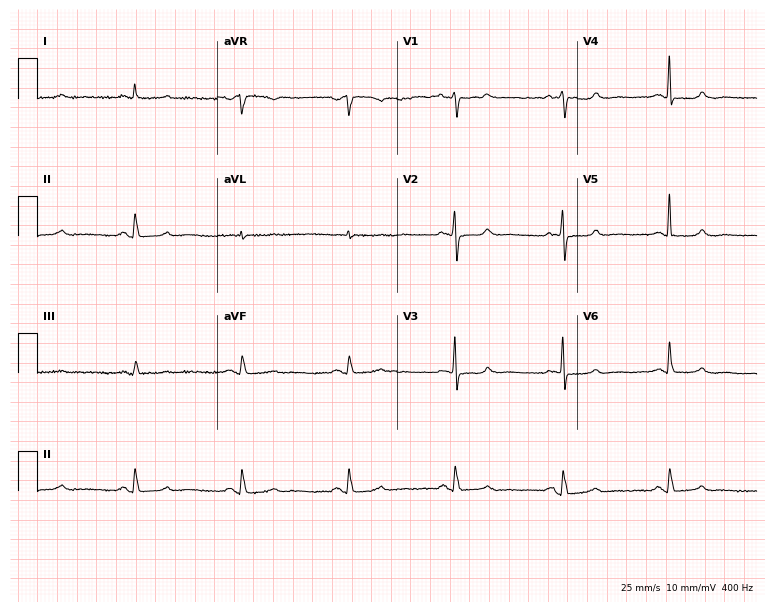
12-lead ECG from a 66-year-old woman (7.3-second recording at 400 Hz). Recorded interpretation: within normal limits.